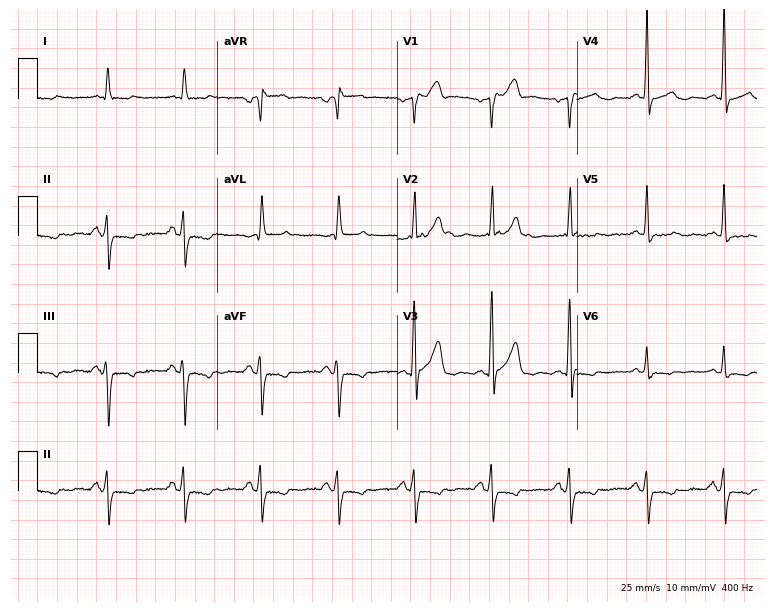
Standard 12-lead ECG recorded from a 67-year-old male patient. None of these six findings is recorded: first-degree AV block, right bundle branch block, left bundle branch block, sinus bradycardia, atrial fibrillation, sinus tachycardia.